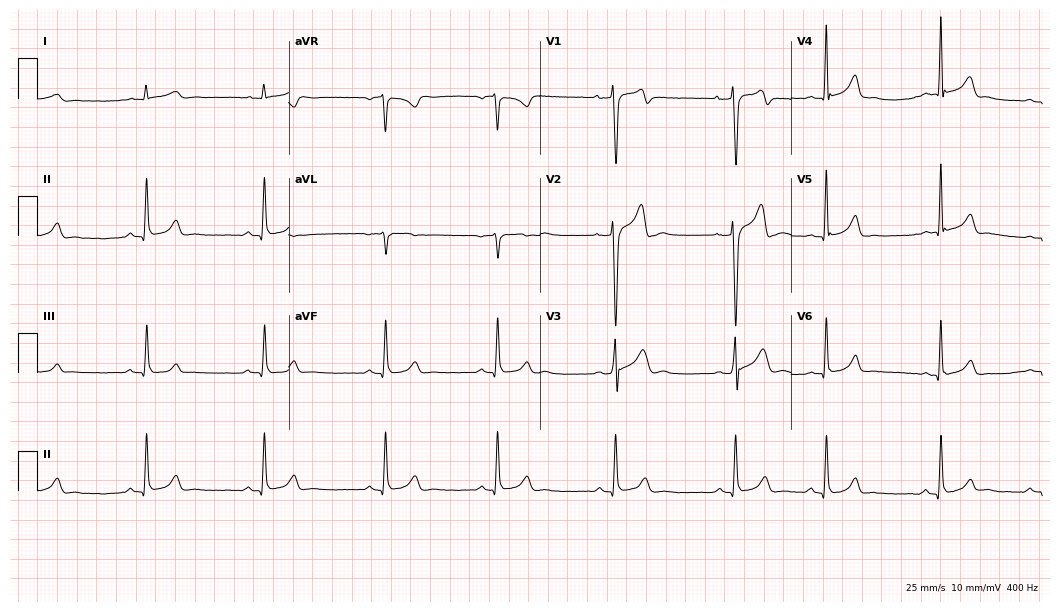
ECG (10.2-second recording at 400 Hz) — a 26-year-old man. Labelled as a normal ECG.